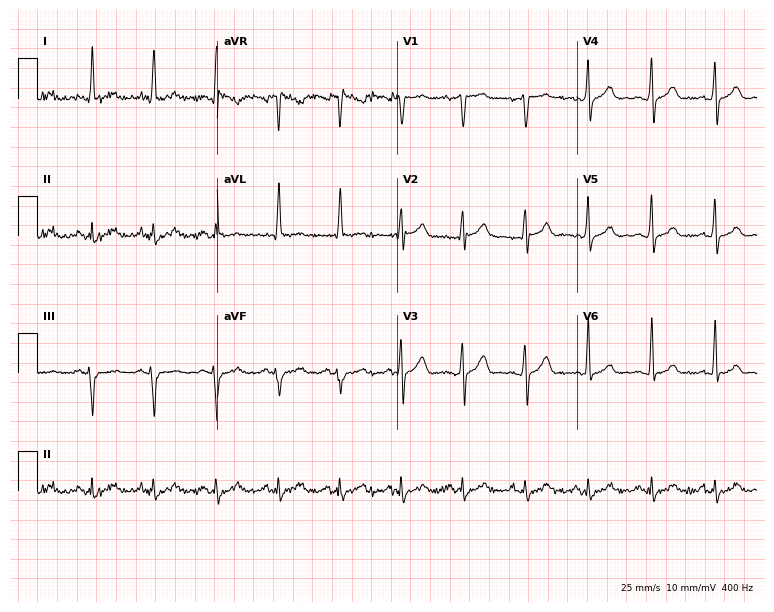
12-lead ECG from a 48-year-old man. No first-degree AV block, right bundle branch block, left bundle branch block, sinus bradycardia, atrial fibrillation or sinus tachycardia recorded for this tracing.